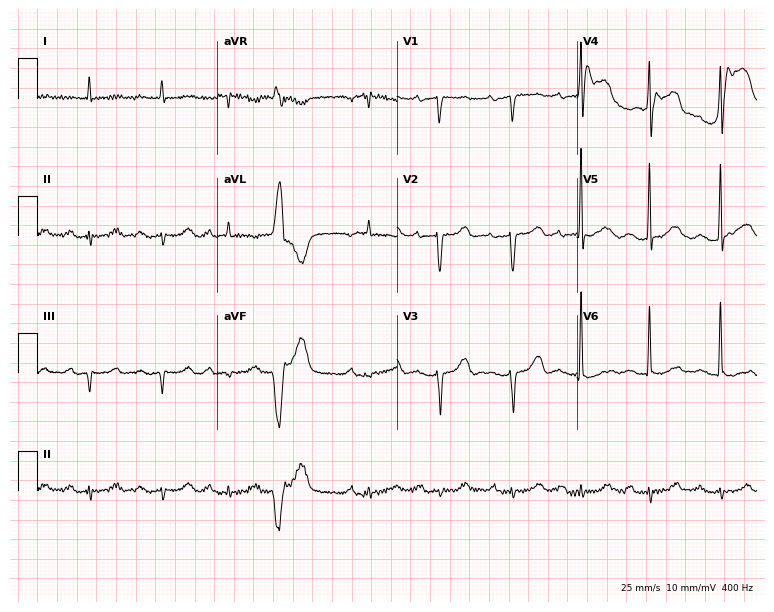
ECG (7.3-second recording at 400 Hz) — a woman, 78 years old. Screened for six findings — first-degree AV block, right bundle branch block, left bundle branch block, sinus bradycardia, atrial fibrillation, sinus tachycardia — none is recorded.